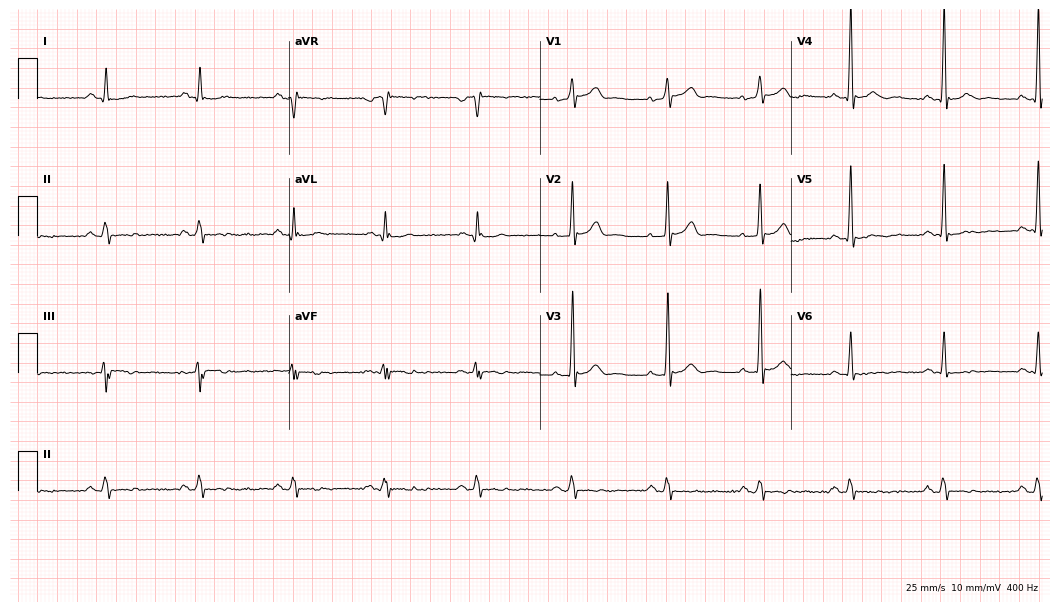
Resting 12-lead electrocardiogram. Patient: a 58-year-old male. None of these six findings is recorded: first-degree AV block, right bundle branch block, left bundle branch block, sinus bradycardia, atrial fibrillation, sinus tachycardia. Other findings, if any, are not listed.